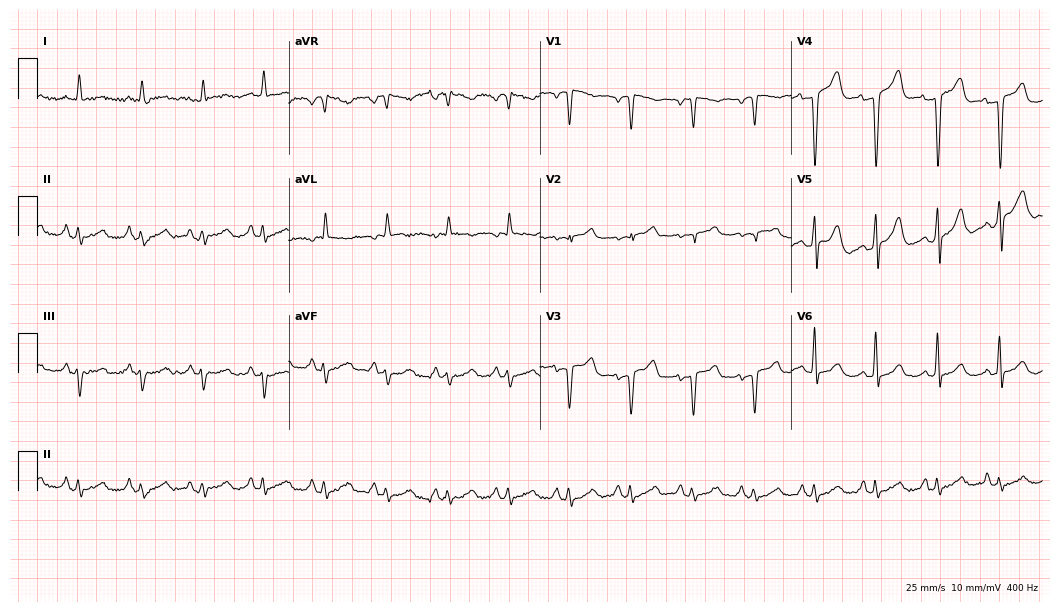
Standard 12-lead ECG recorded from a 71-year-old female patient (10.2-second recording at 400 Hz). None of these six findings is recorded: first-degree AV block, right bundle branch block (RBBB), left bundle branch block (LBBB), sinus bradycardia, atrial fibrillation (AF), sinus tachycardia. Findings outside these six are not listed.